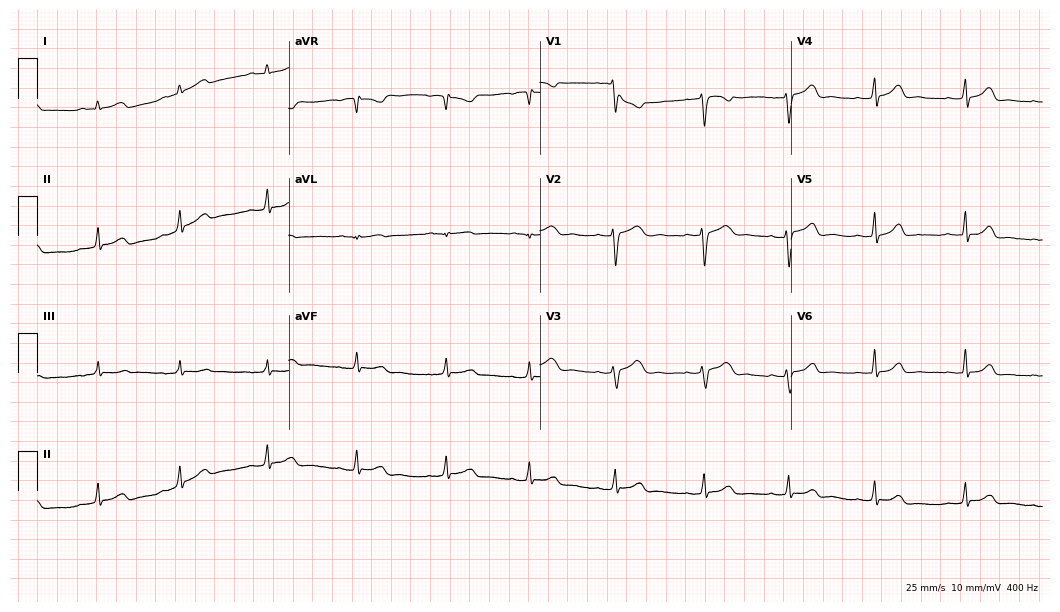
Standard 12-lead ECG recorded from a 26-year-old female. Read as a normal ECG.